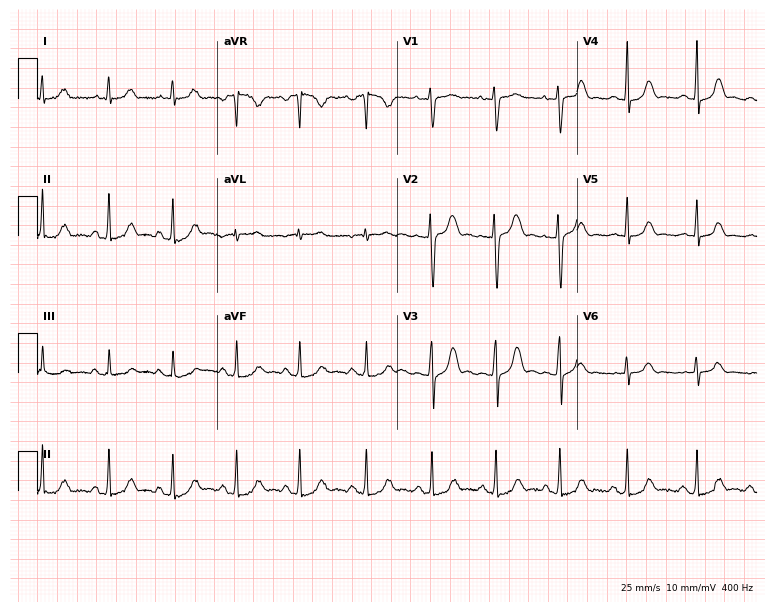
ECG (7.3-second recording at 400 Hz) — a female patient, 20 years old. Labelled as a normal ECG.